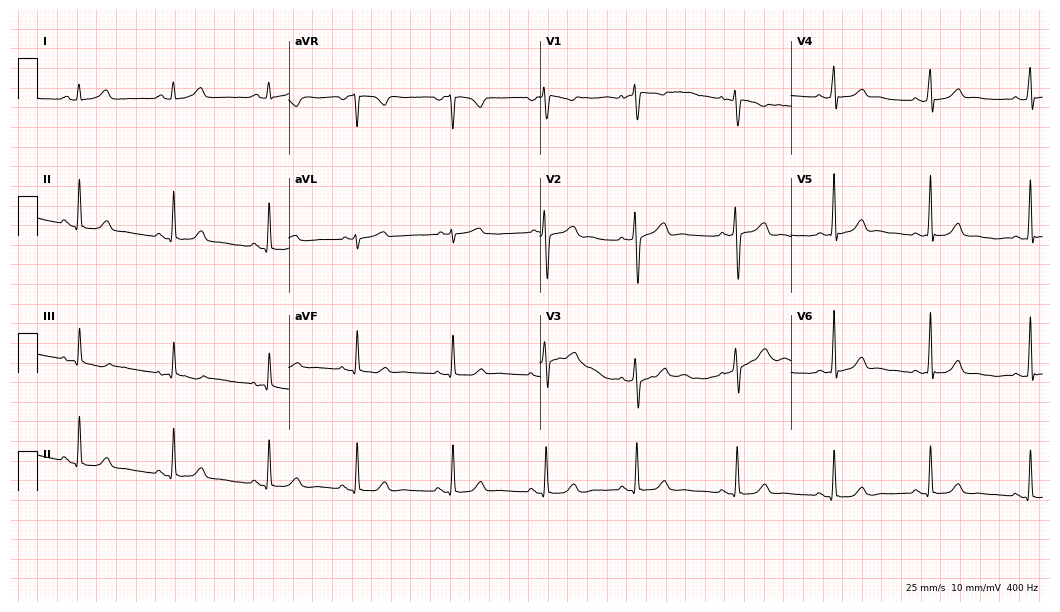
Resting 12-lead electrocardiogram. Patient: a woman, 34 years old. Read as a normal ECG.